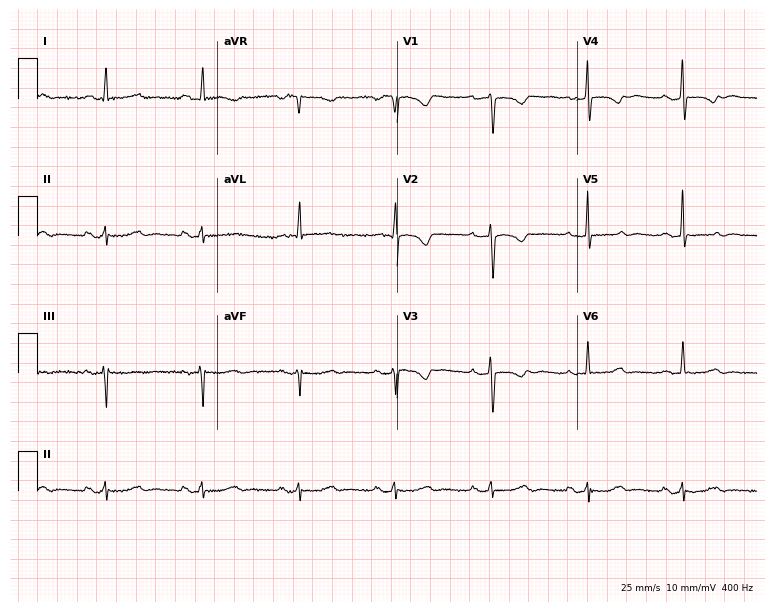
12-lead ECG from a 60-year-old female patient (7.3-second recording at 400 Hz). No first-degree AV block, right bundle branch block (RBBB), left bundle branch block (LBBB), sinus bradycardia, atrial fibrillation (AF) or sinus tachycardia recorded for this tracing. Findings outside these six are not listed.